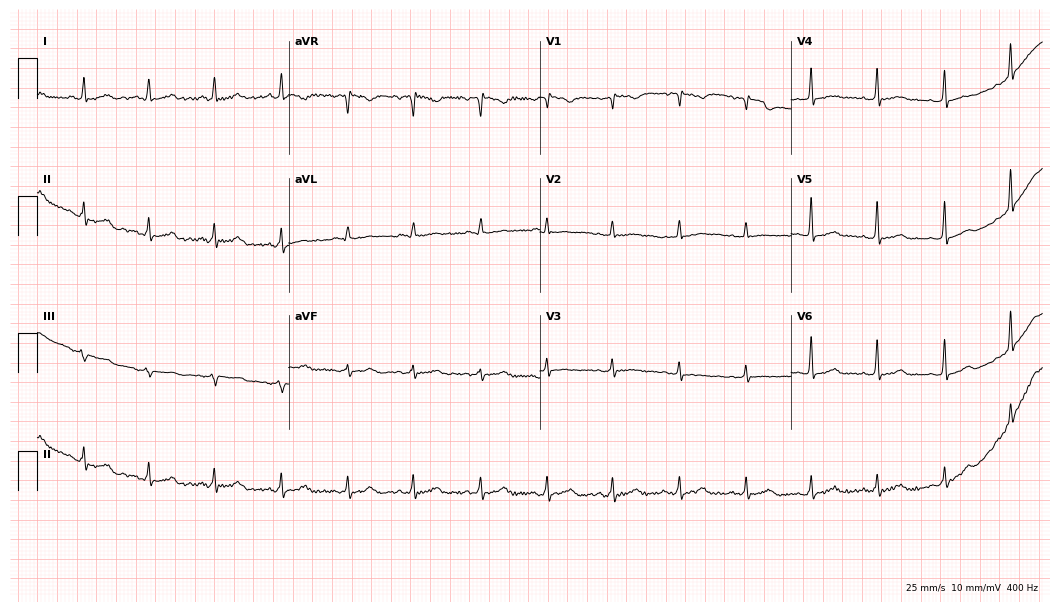
12-lead ECG (10.2-second recording at 400 Hz) from a female patient, 41 years old. Labelled as a normal ECG.